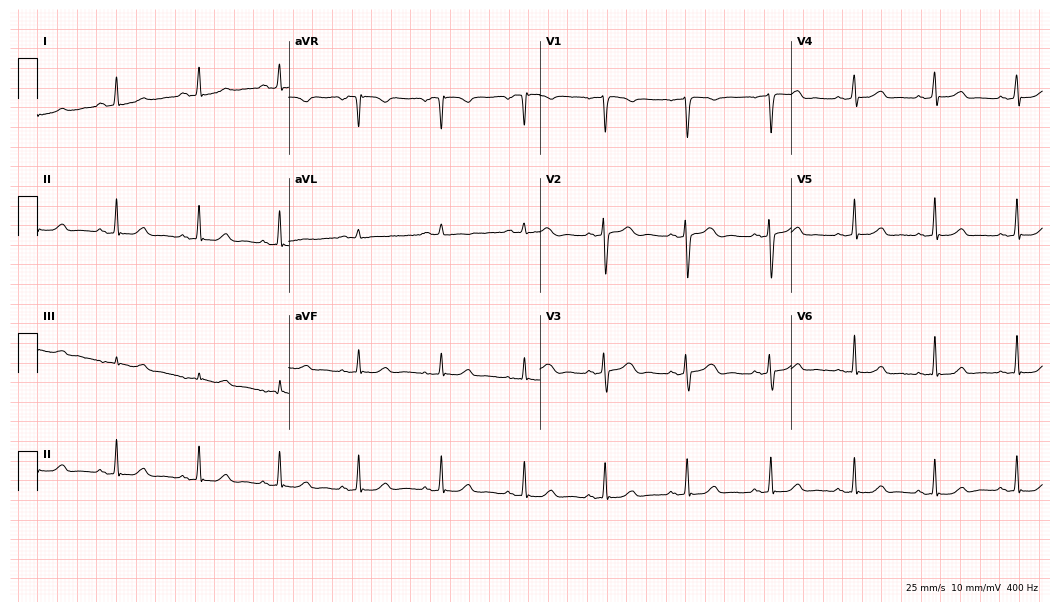
12-lead ECG (10.2-second recording at 400 Hz) from a 26-year-old female. Labelled as a normal ECG.